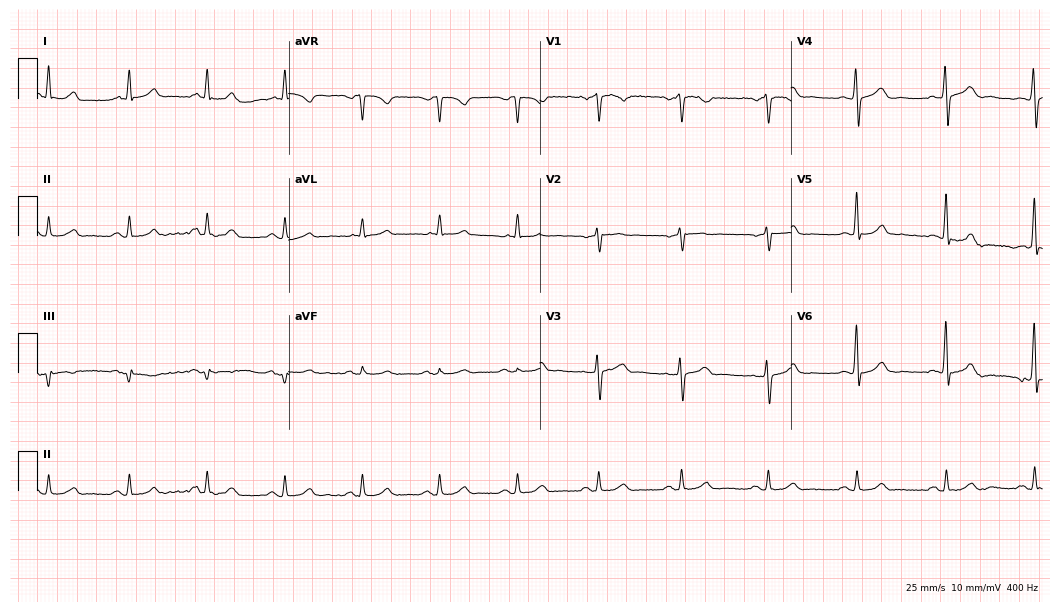
ECG (10.2-second recording at 400 Hz) — a 50-year-old male. Labelled as a normal ECG.